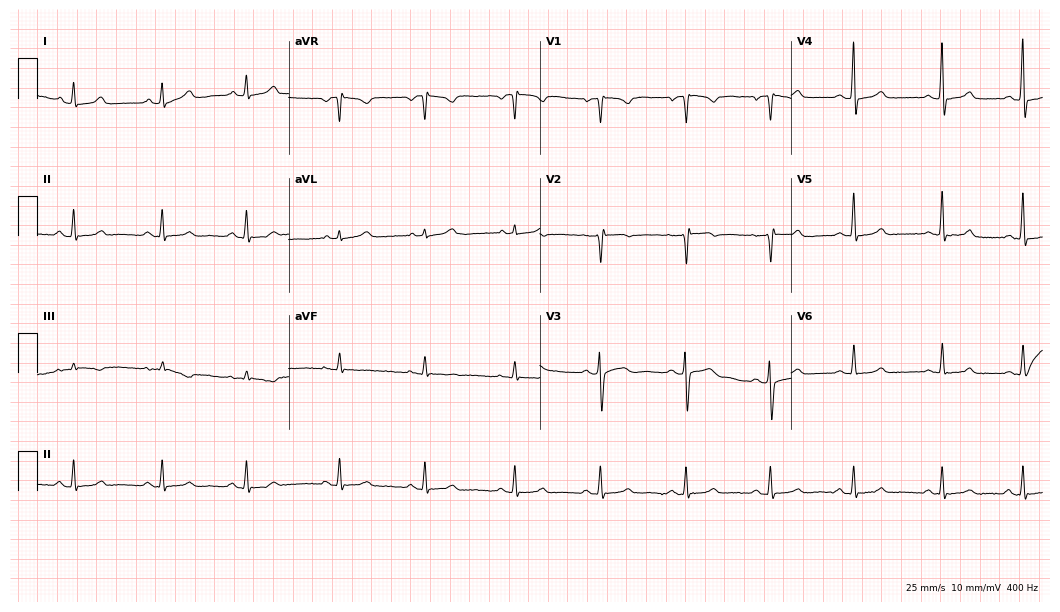
Resting 12-lead electrocardiogram. Patient: a female, 26 years old. None of these six findings is recorded: first-degree AV block, right bundle branch block, left bundle branch block, sinus bradycardia, atrial fibrillation, sinus tachycardia.